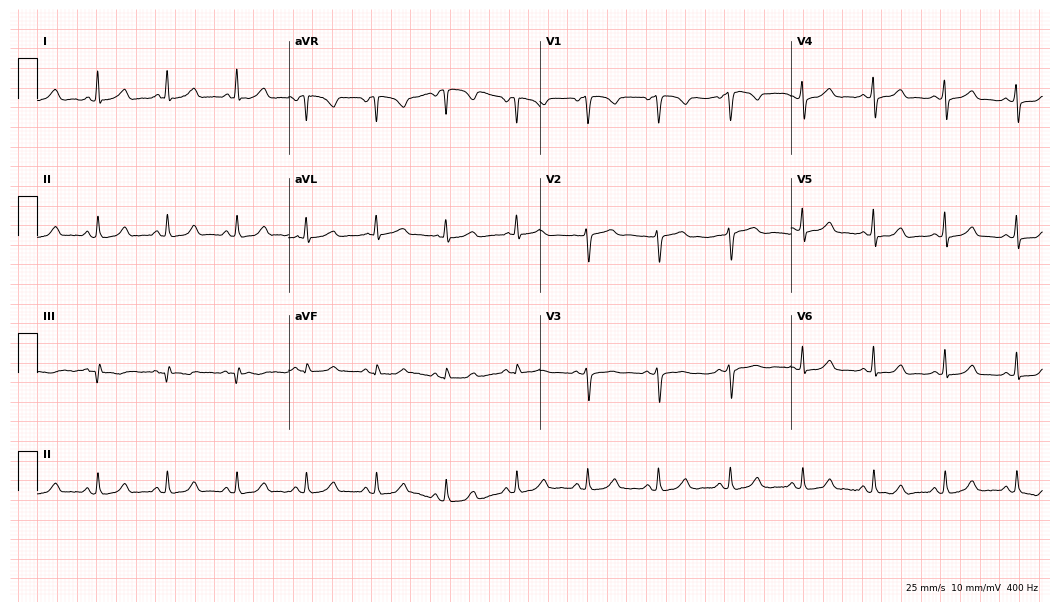
12-lead ECG from a female patient, 49 years old. Recorded interpretation: within normal limits.